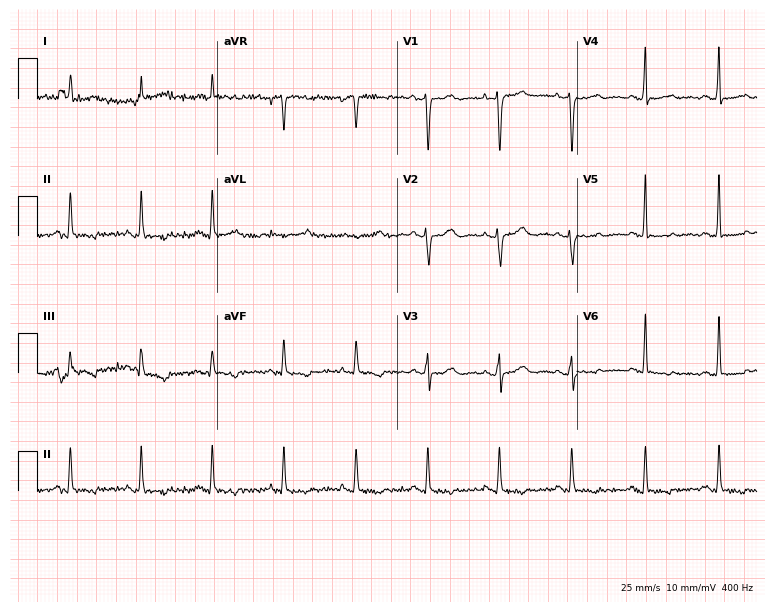
12-lead ECG (7.3-second recording at 400 Hz) from a 51-year-old female patient. Screened for six findings — first-degree AV block, right bundle branch block, left bundle branch block, sinus bradycardia, atrial fibrillation, sinus tachycardia — none is recorded. Findings outside these six are not listed.